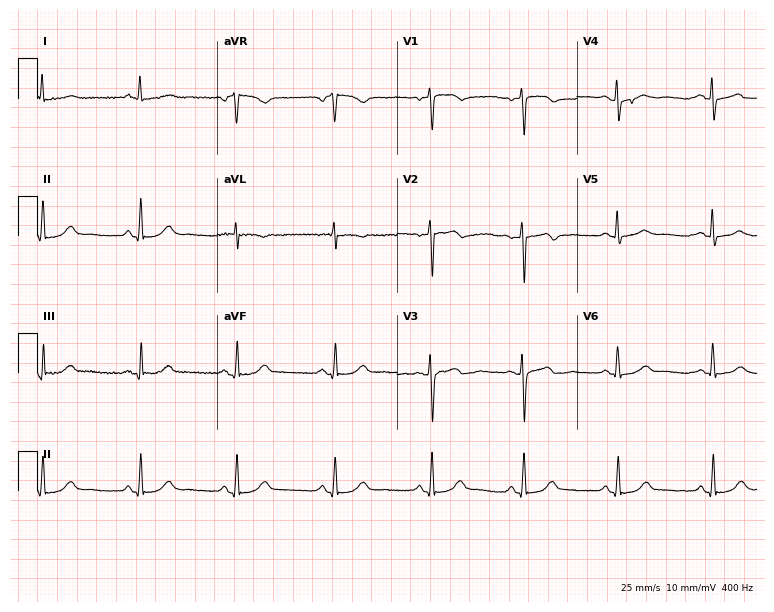
Resting 12-lead electrocardiogram. Patient: a 57-year-old woman. None of these six findings is recorded: first-degree AV block, right bundle branch block, left bundle branch block, sinus bradycardia, atrial fibrillation, sinus tachycardia. Other findings, if any, are not listed.